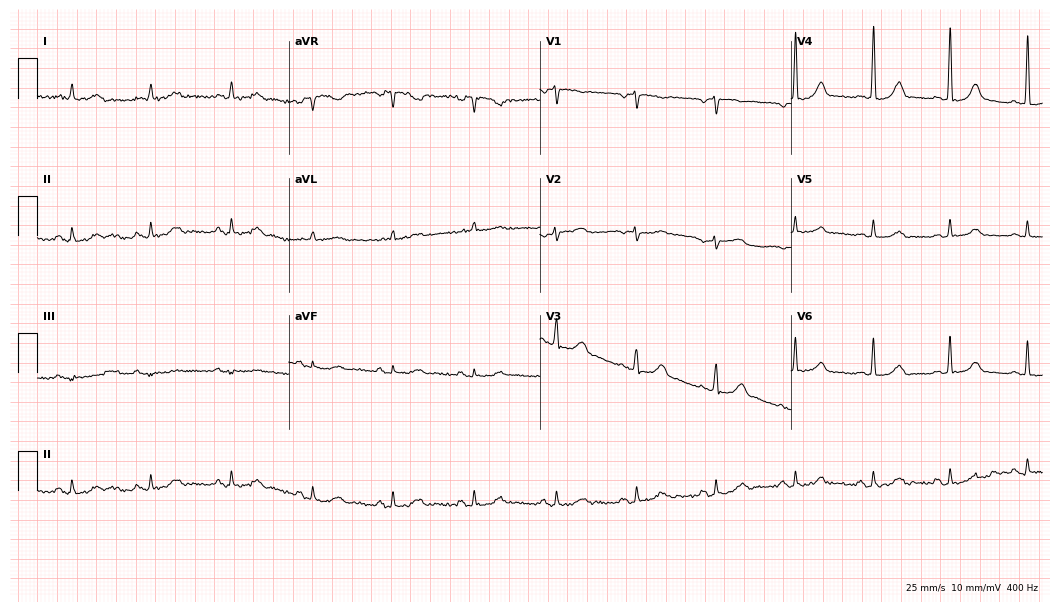
Resting 12-lead electrocardiogram. Patient: a 50-year-old female. None of these six findings is recorded: first-degree AV block, right bundle branch block, left bundle branch block, sinus bradycardia, atrial fibrillation, sinus tachycardia. Findings outside these six are not listed.